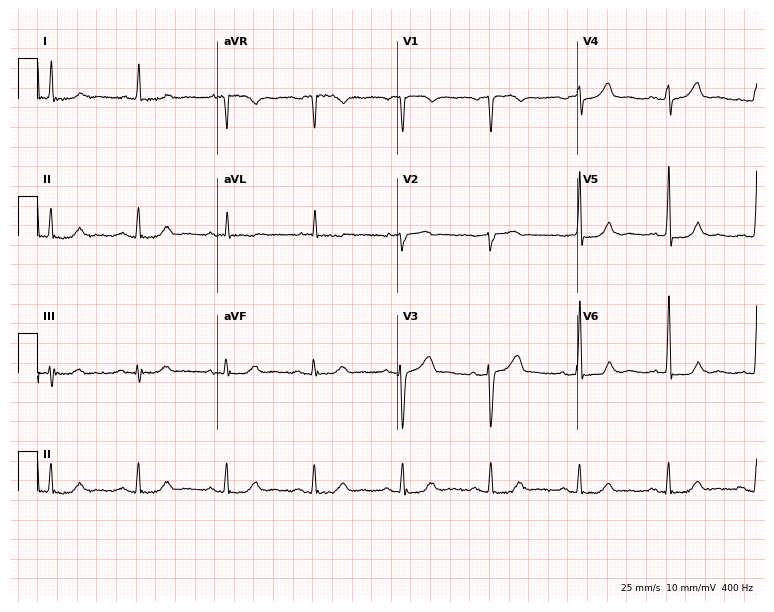
Standard 12-lead ECG recorded from an 84-year-old man (7.3-second recording at 400 Hz). Read as a normal ECG.